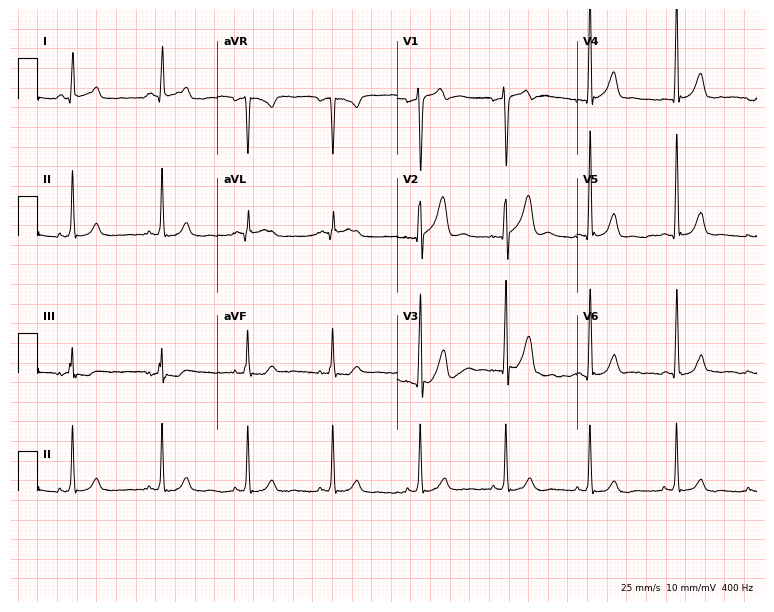
Electrocardiogram, a 41-year-old male. Of the six screened findings (first-degree AV block, right bundle branch block, left bundle branch block, sinus bradycardia, atrial fibrillation, sinus tachycardia), none is recorded. Only these six findings were labelled.